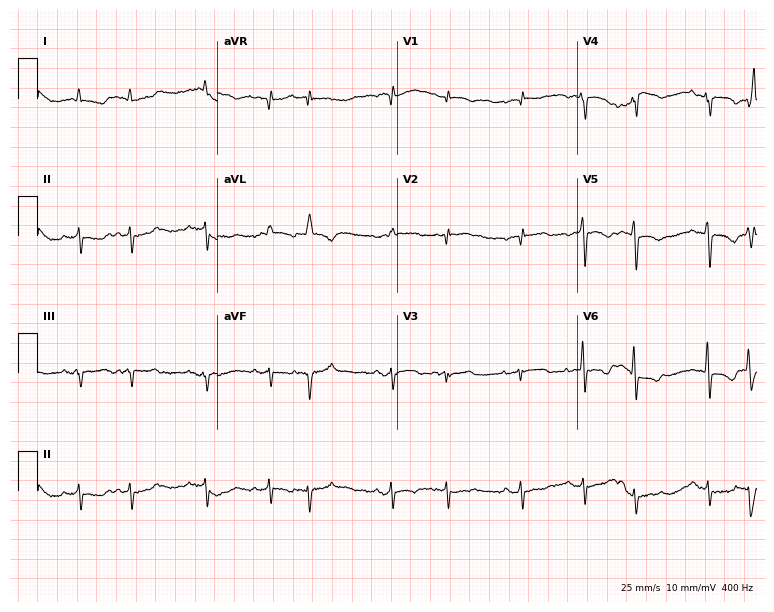
12-lead ECG from an 80-year-old male patient (7.3-second recording at 400 Hz). No first-degree AV block, right bundle branch block (RBBB), left bundle branch block (LBBB), sinus bradycardia, atrial fibrillation (AF) or sinus tachycardia recorded for this tracing. Findings outside these six are not listed.